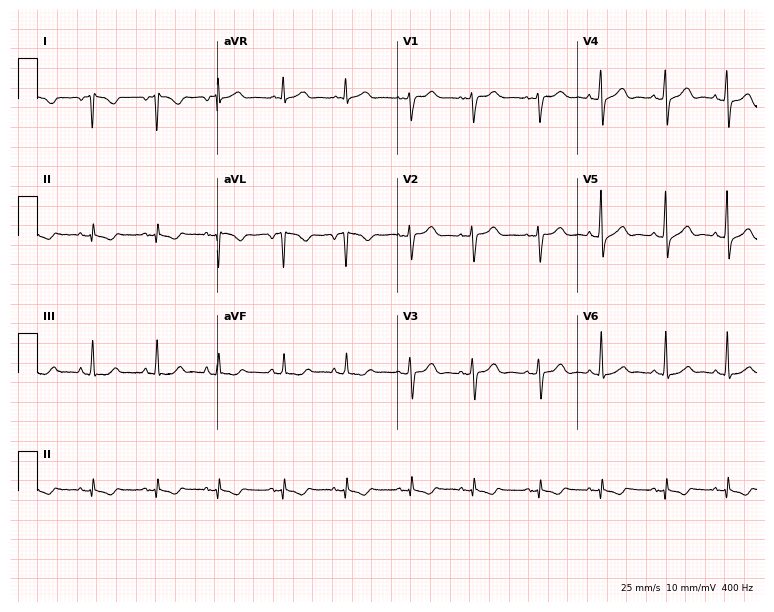
Electrocardiogram (7.3-second recording at 400 Hz), a woman, 55 years old. Of the six screened findings (first-degree AV block, right bundle branch block, left bundle branch block, sinus bradycardia, atrial fibrillation, sinus tachycardia), none is recorded. Other findings, if any, are not listed.